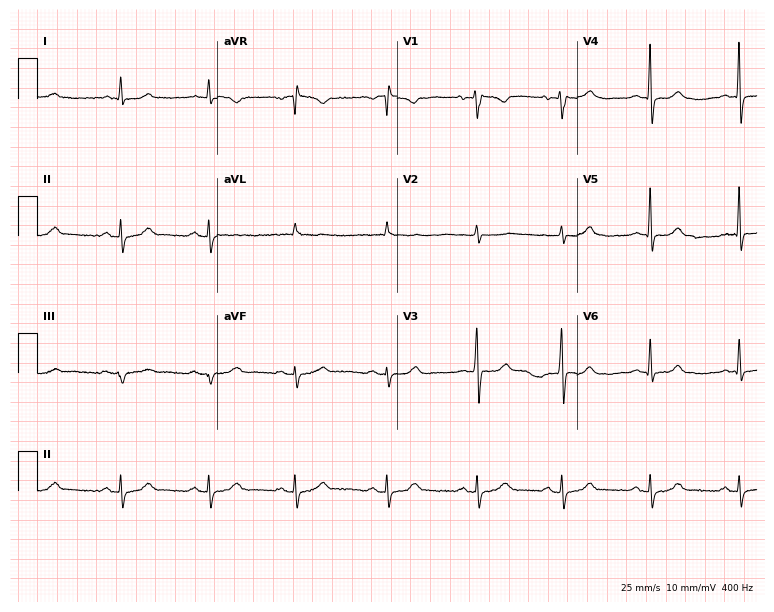
12-lead ECG (7.3-second recording at 400 Hz) from a female, 44 years old. Screened for six findings — first-degree AV block, right bundle branch block, left bundle branch block, sinus bradycardia, atrial fibrillation, sinus tachycardia — none is recorded. Other findings, if any, are not listed.